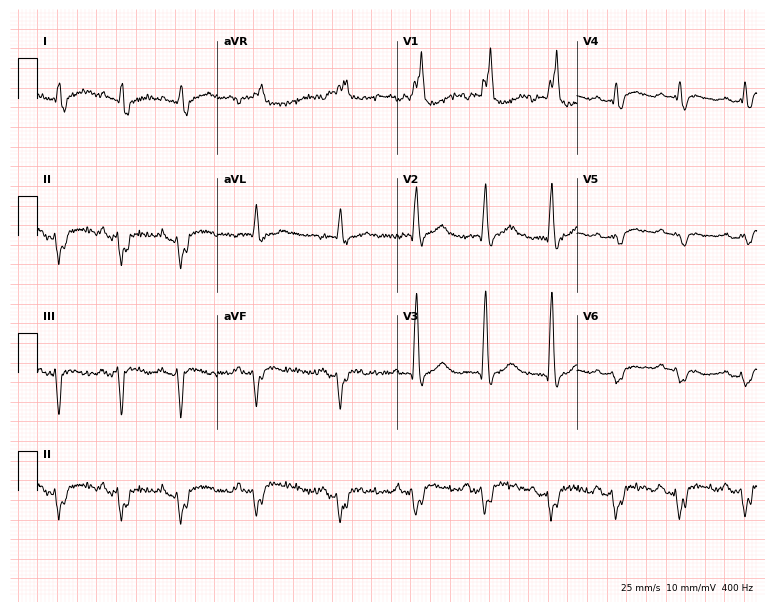
ECG (7.3-second recording at 400 Hz) — a woman, 80 years old. Findings include right bundle branch block.